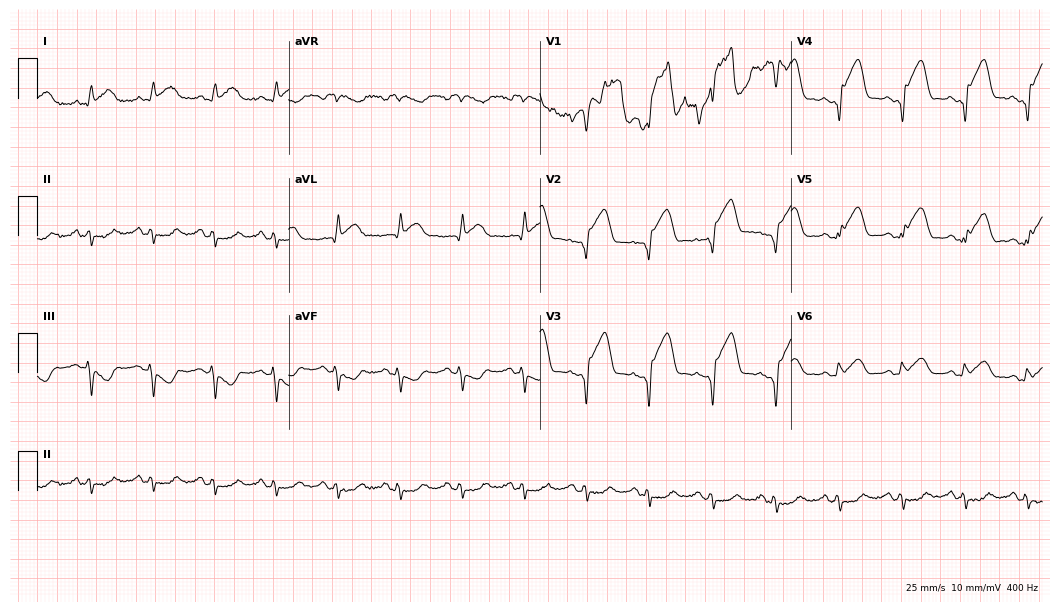
12-lead ECG from a 71-year-old male patient. No first-degree AV block, right bundle branch block, left bundle branch block, sinus bradycardia, atrial fibrillation or sinus tachycardia recorded for this tracing.